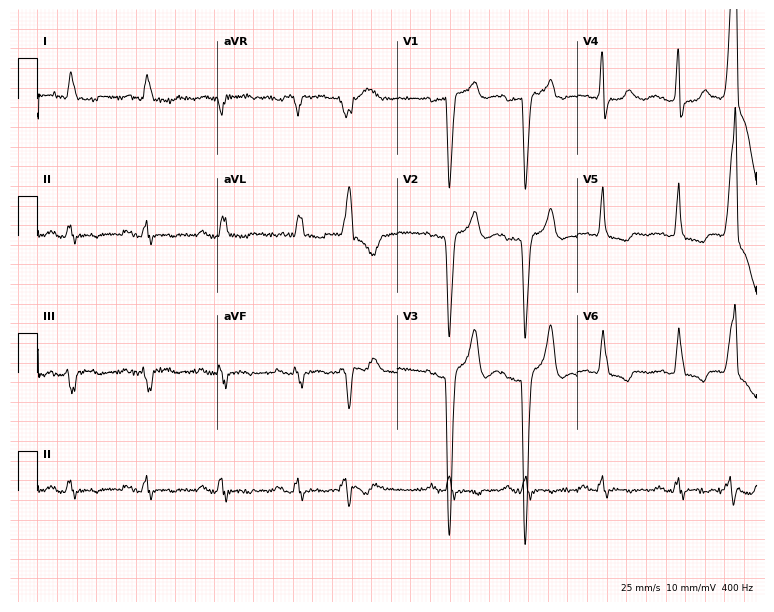
Electrocardiogram (7.3-second recording at 400 Hz), a 73-year-old woman. Interpretation includes left bundle branch block (LBBB).